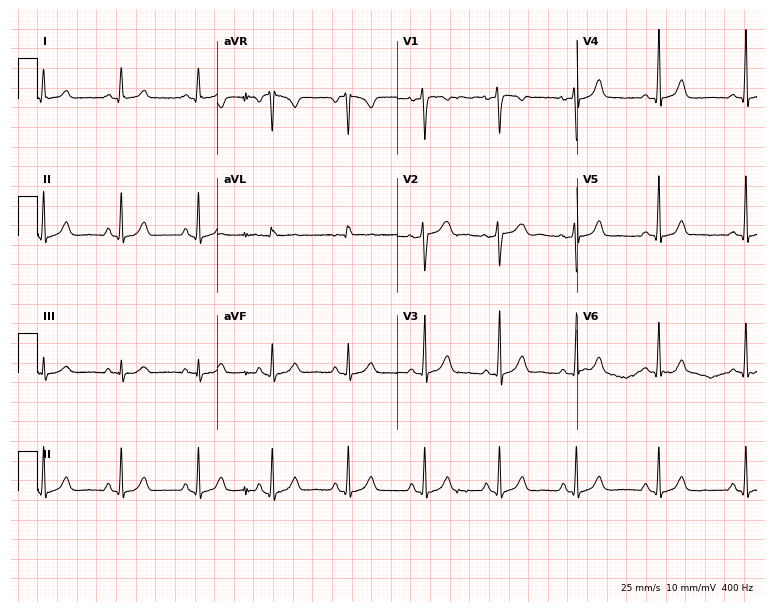
ECG (7.3-second recording at 400 Hz) — a 34-year-old female. Labelled as a normal ECG.